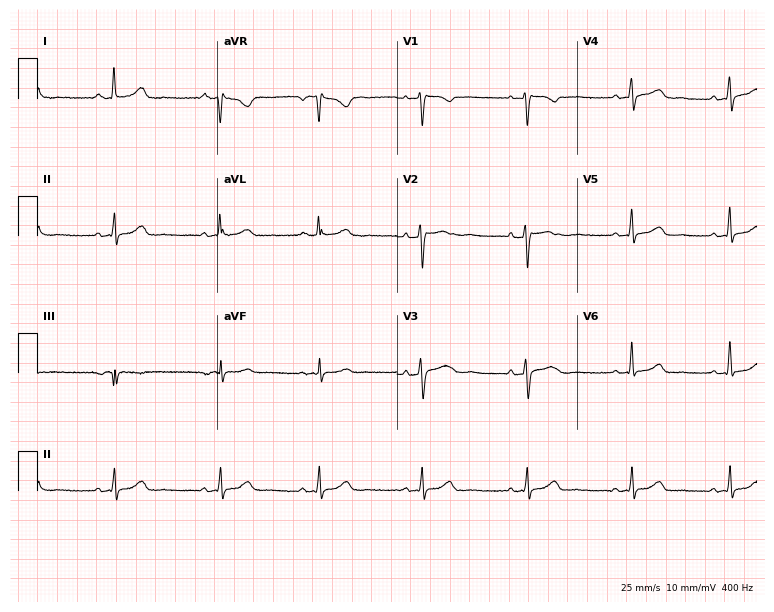
12-lead ECG from a female patient, 55 years old (7.3-second recording at 400 Hz). Recorded interpretation: within normal limits.